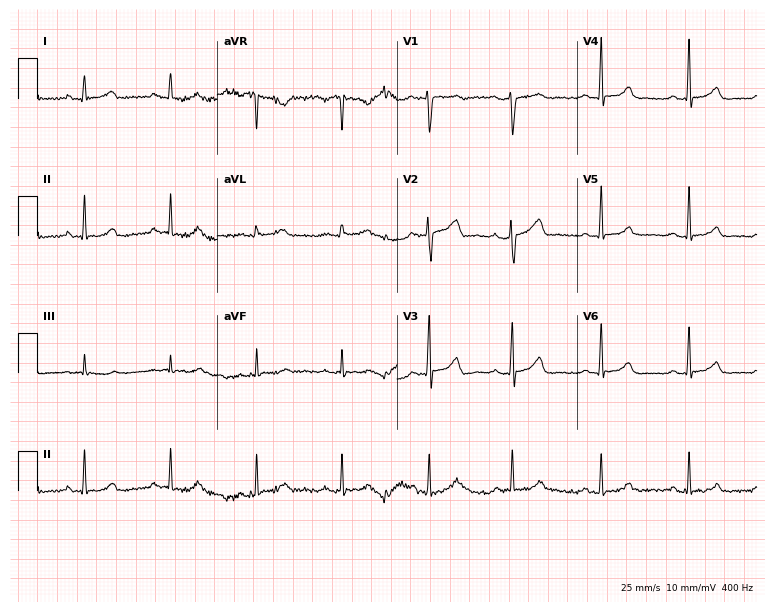
Standard 12-lead ECG recorded from a 35-year-old woman (7.3-second recording at 400 Hz). None of these six findings is recorded: first-degree AV block, right bundle branch block, left bundle branch block, sinus bradycardia, atrial fibrillation, sinus tachycardia.